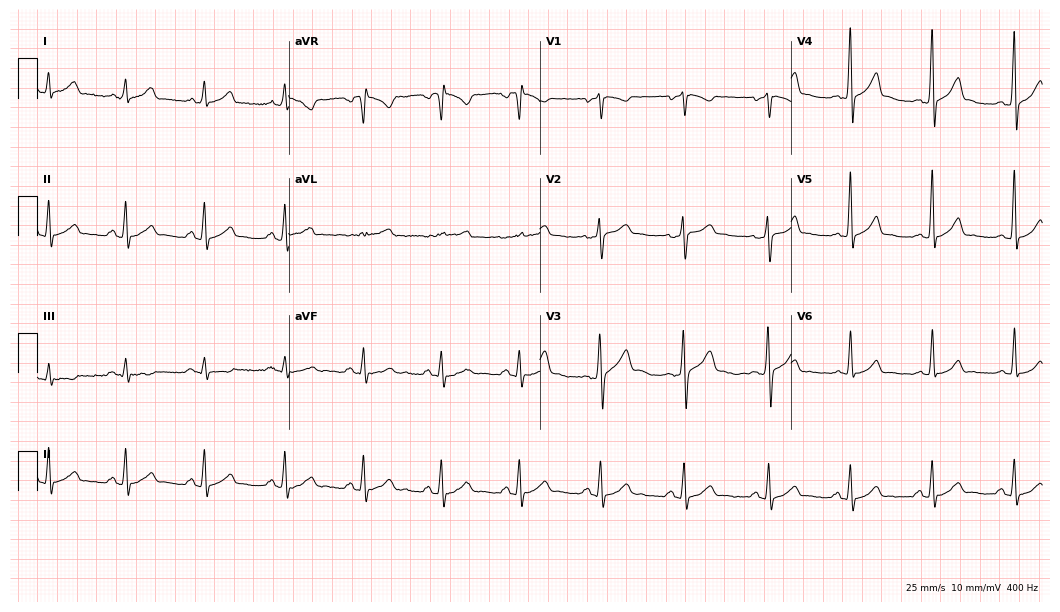
Electrocardiogram (10.2-second recording at 400 Hz), a 29-year-old man. Overall reading on record: normal ECG.